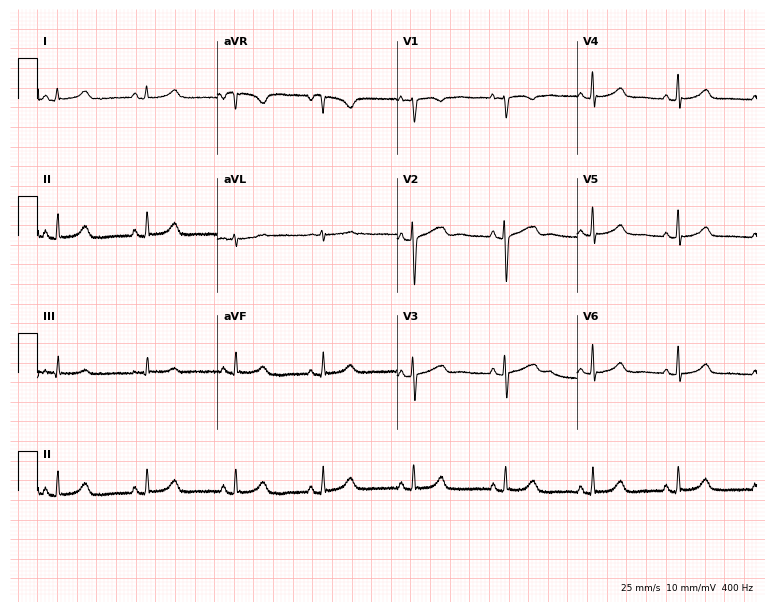
Resting 12-lead electrocardiogram (7.3-second recording at 400 Hz). Patient: a 29-year-old female. None of these six findings is recorded: first-degree AV block, right bundle branch block, left bundle branch block, sinus bradycardia, atrial fibrillation, sinus tachycardia.